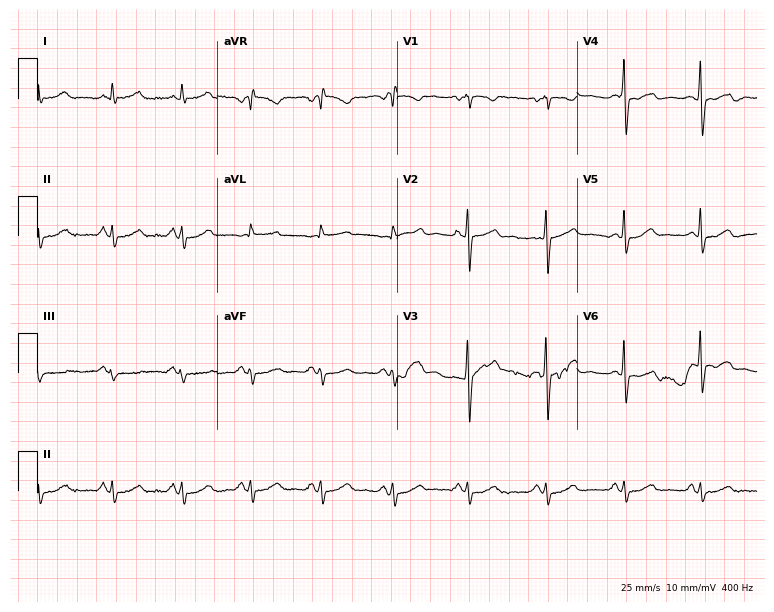
12-lead ECG (7.3-second recording at 400 Hz) from a male patient, 71 years old. Labelled as a normal ECG.